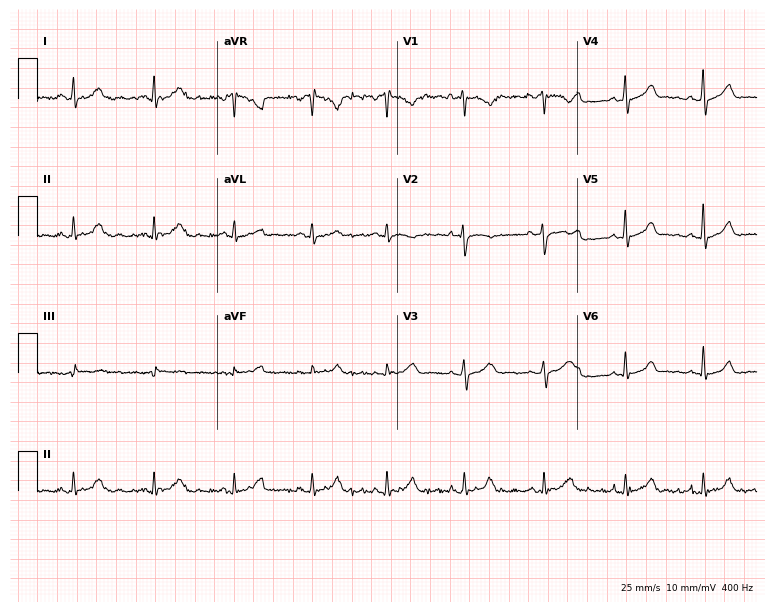
ECG (7.3-second recording at 400 Hz) — a female, 42 years old. Labelled as a normal ECG.